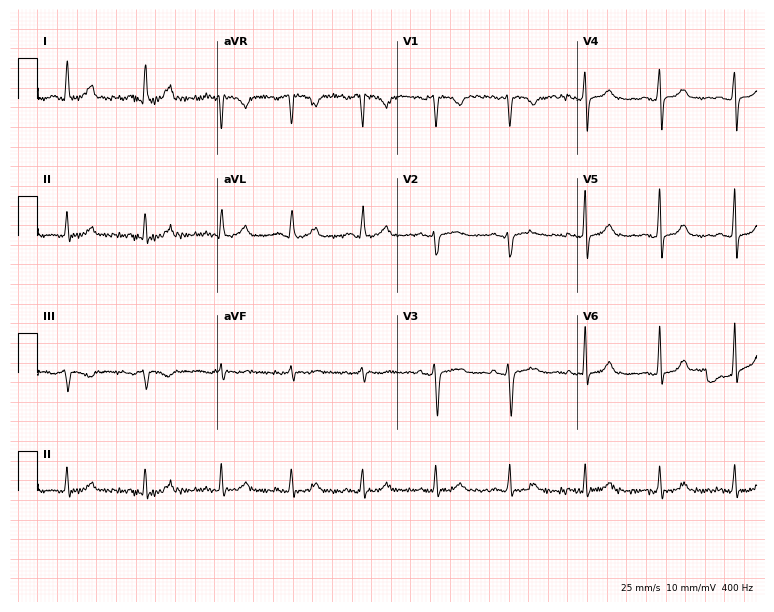
Standard 12-lead ECG recorded from a 44-year-old female patient (7.3-second recording at 400 Hz). Read as a normal ECG.